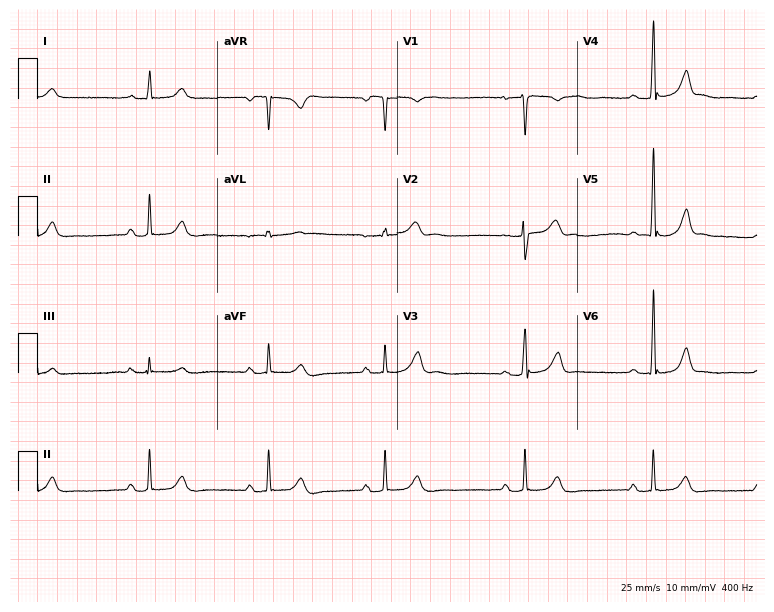
ECG (7.3-second recording at 400 Hz) — a woman, 44 years old. Findings include sinus bradycardia (a sinus rate of 50 beats per minute or less).